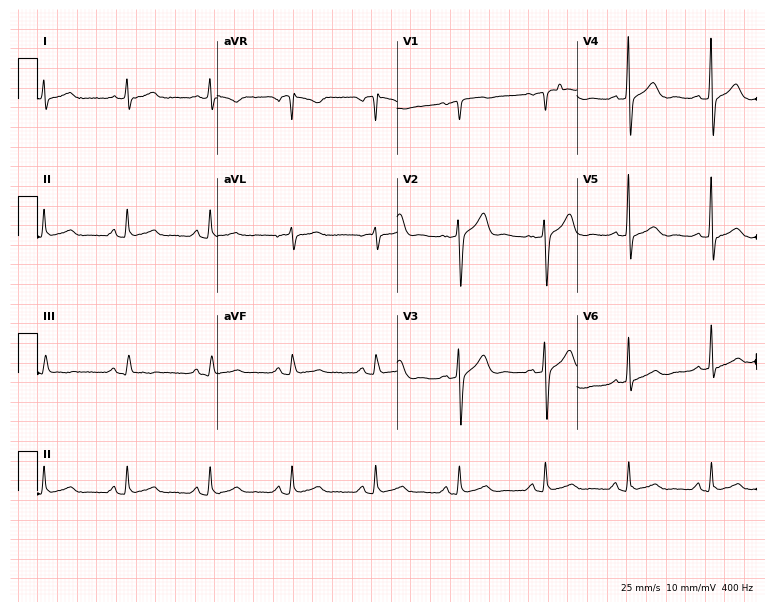
Resting 12-lead electrocardiogram (7.3-second recording at 400 Hz). Patient: a 56-year-old male. None of these six findings is recorded: first-degree AV block, right bundle branch block (RBBB), left bundle branch block (LBBB), sinus bradycardia, atrial fibrillation (AF), sinus tachycardia.